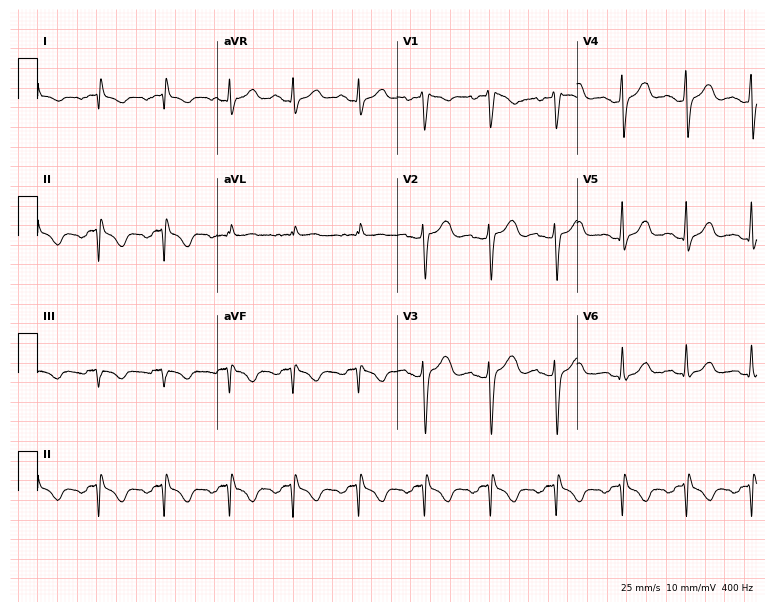
Standard 12-lead ECG recorded from a 48-year-old female patient (7.3-second recording at 400 Hz). None of these six findings is recorded: first-degree AV block, right bundle branch block, left bundle branch block, sinus bradycardia, atrial fibrillation, sinus tachycardia.